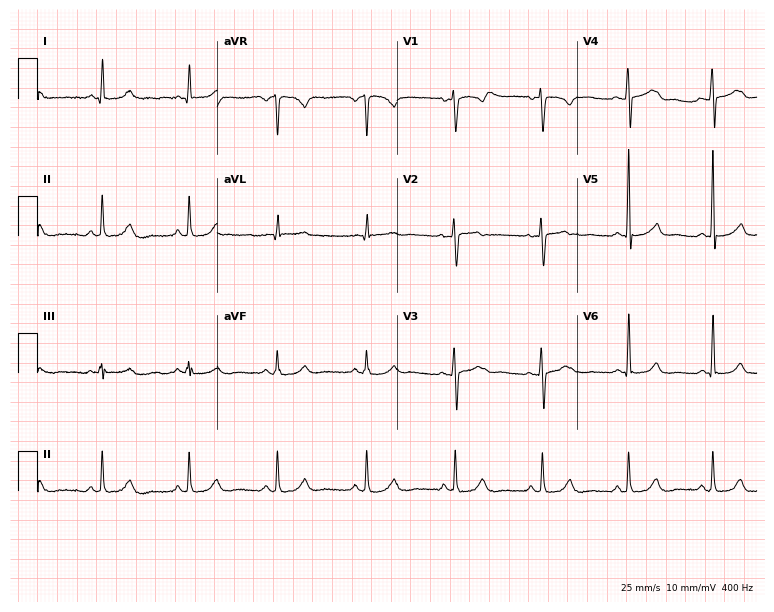
Resting 12-lead electrocardiogram. Patient: a woman, 44 years old. None of these six findings is recorded: first-degree AV block, right bundle branch block, left bundle branch block, sinus bradycardia, atrial fibrillation, sinus tachycardia.